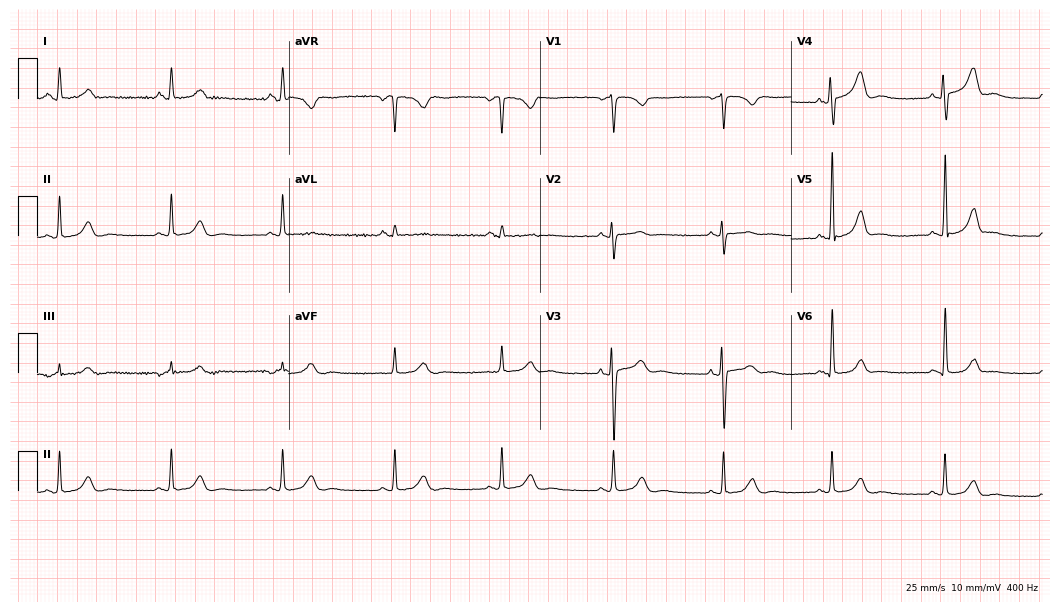
Standard 12-lead ECG recorded from a 33-year-old female patient (10.2-second recording at 400 Hz). Read as a normal ECG.